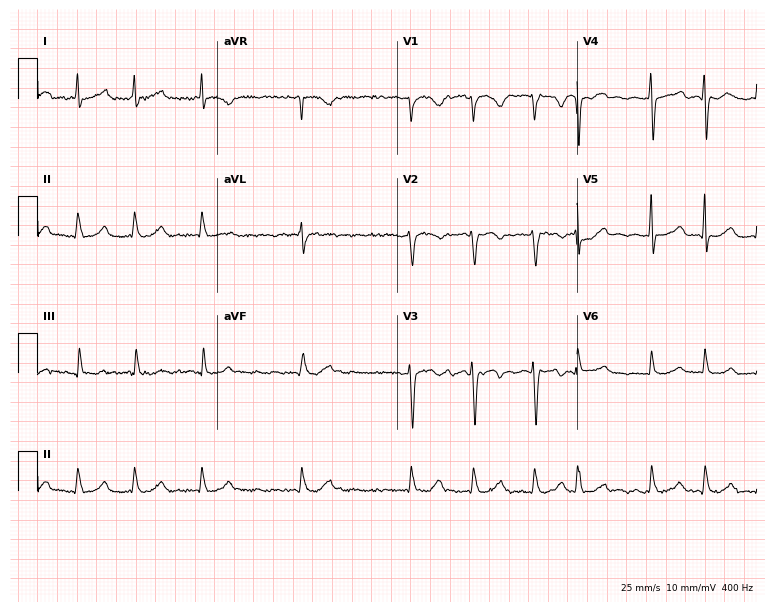
ECG — a 75-year-old female. Screened for six findings — first-degree AV block, right bundle branch block, left bundle branch block, sinus bradycardia, atrial fibrillation, sinus tachycardia — none is recorded. Other findings, if any, are not listed.